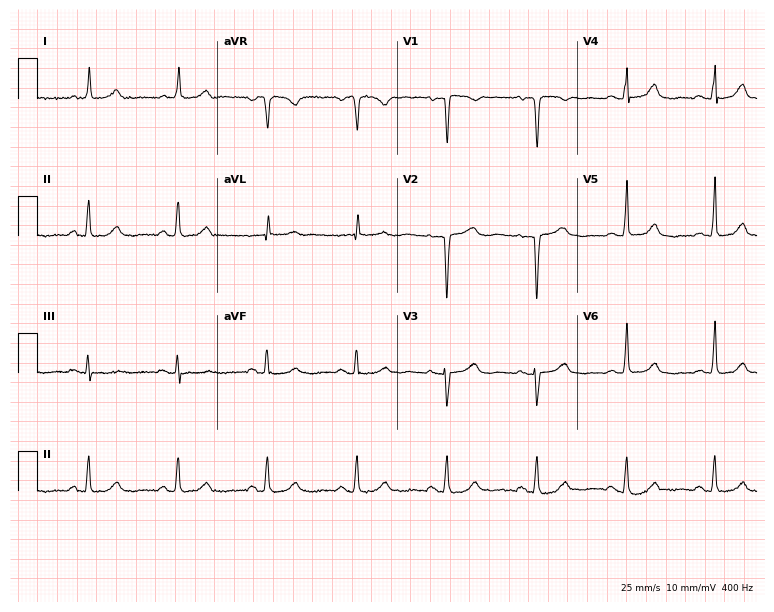
Resting 12-lead electrocardiogram. Patient: a female, 65 years old. None of these six findings is recorded: first-degree AV block, right bundle branch block, left bundle branch block, sinus bradycardia, atrial fibrillation, sinus tachycardia.